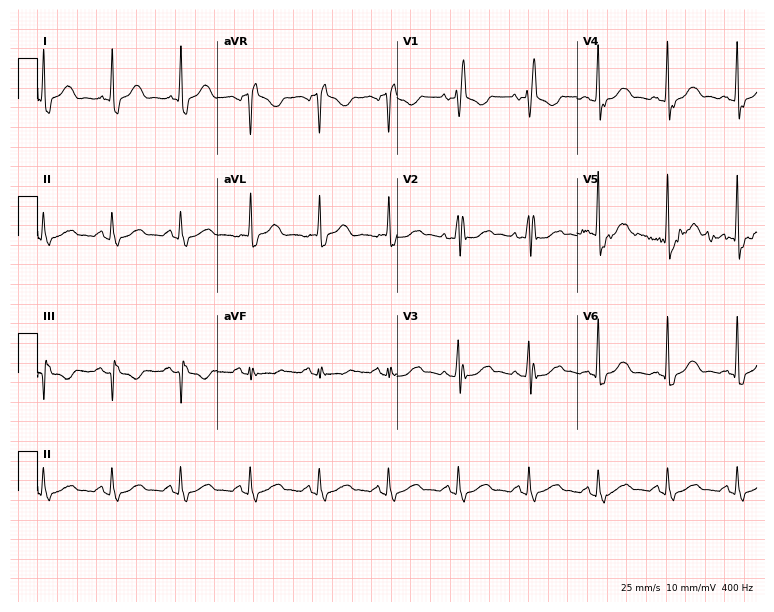
12-lead ECG (7.3-second recording at 400 Hz) from a female patient, 69 years old. Findings include right bundle branch block.